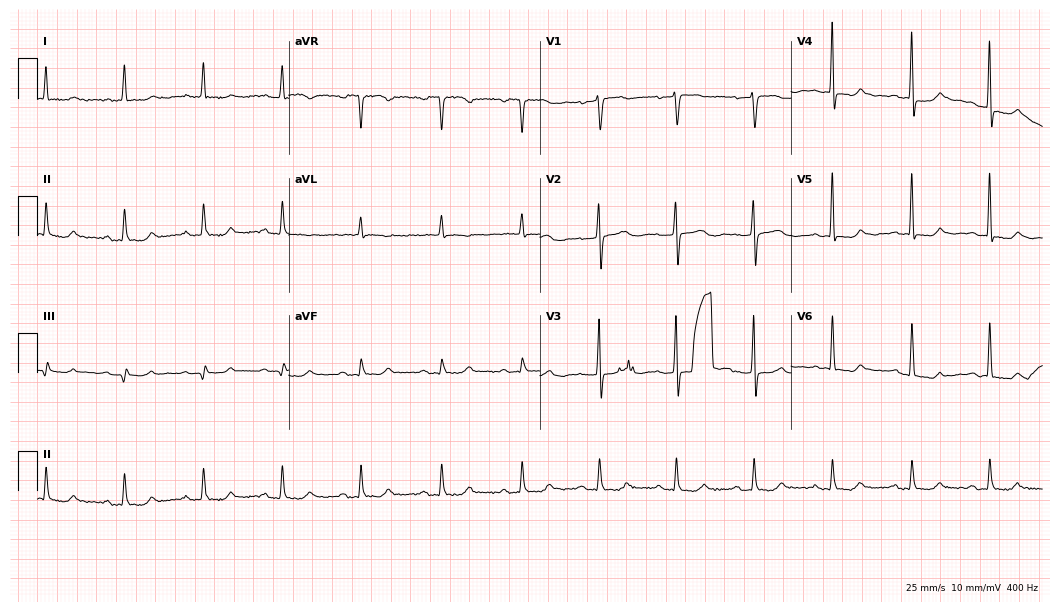
ECG (10.2-second recording at 400 Hz) — a woman, 82 years old. Screened for six findings — first-degree AV block, right bundle branch block, left bundle branch block, sinus bradycardia, atrial fibrillation, sinus tachycardia — none is recorded. Other findings, if any, are not listed.